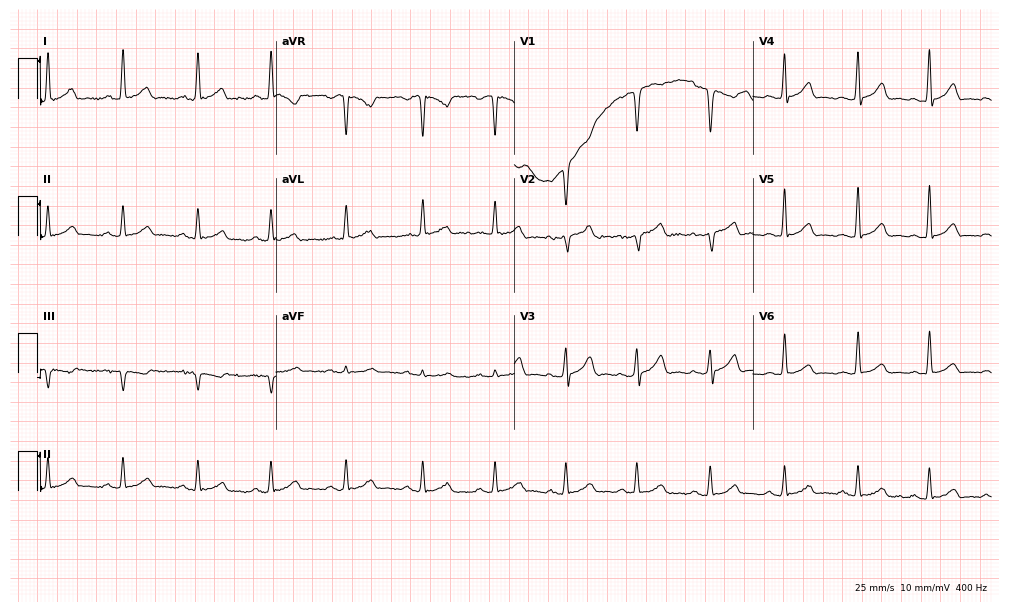
12-lead ECG from a female patient, 39 years old. Labelled as a normal ECG.